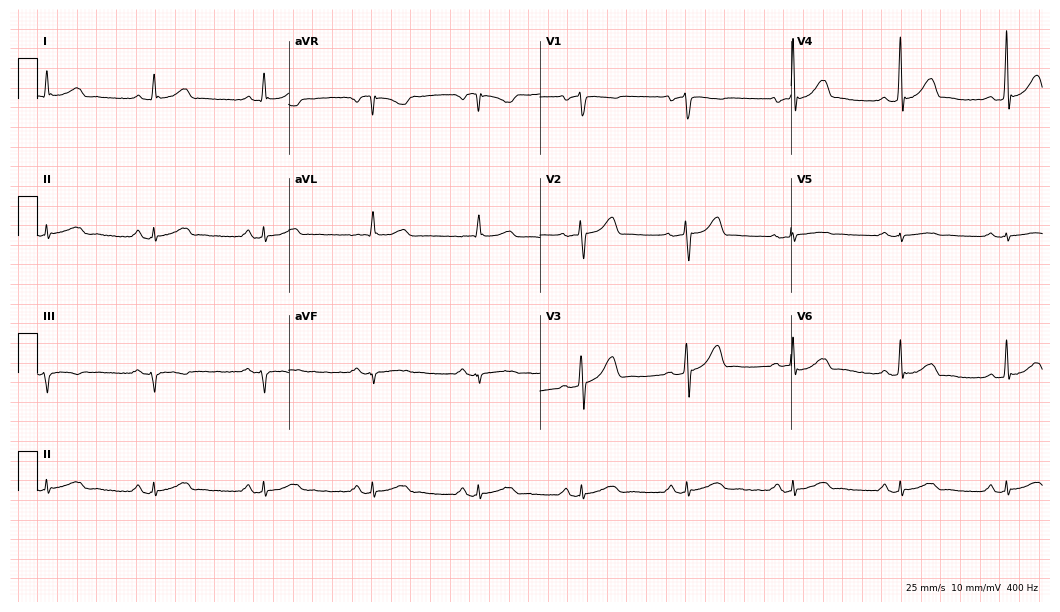
Electrocardiogram (10.2-second recording at 400 Hz), a male patient, 42 years old. Of the six screened findings (first-degree AV block, right bundle branch block, left bundle branch block, sinus bradycardia, atrial fibrillation, sinus tachycardia), none is recorded.